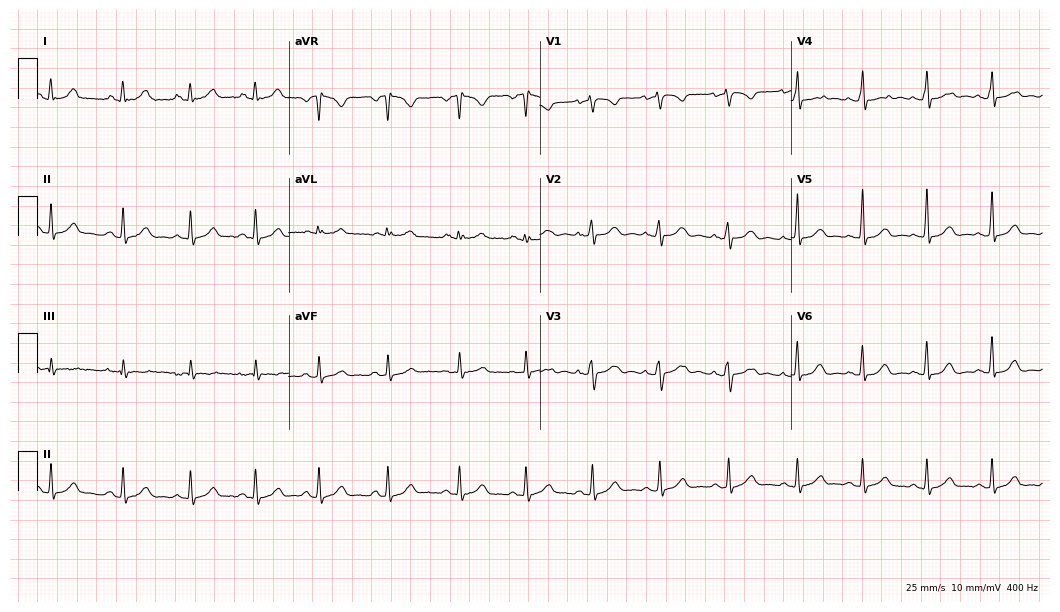
12-lead ECG from a 41-year-old female. Screened for six findings — first-degree AV block, right bundle branch block, left bundle branch block, sinus bradycardia, atrial fibrillation, sinus tachycardia — none is recorded.